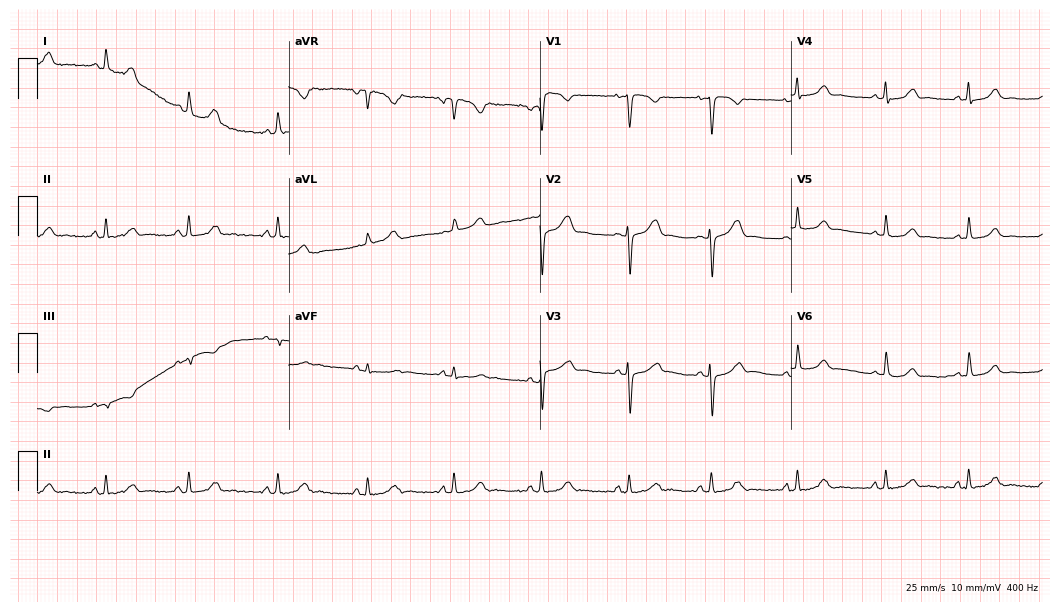
Standard 12-lead ECG recorded from a 29-year-old woman (10.2-second recording at 400 Hz). Read as a normal ECG.